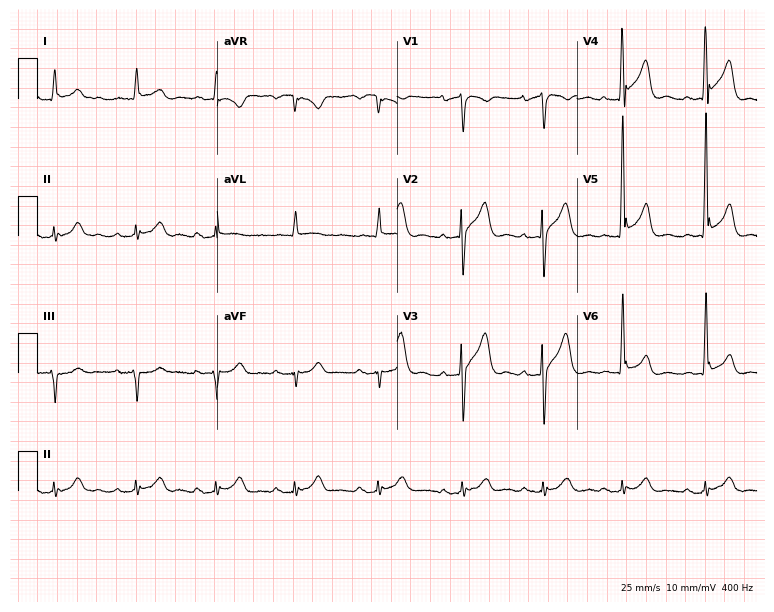
12-lead ECG from a 64-year-old male. Screened for six findings — first-degree AV block, right bundle branch block (RBBB), left bundle branch block (LBBB), sinus bradycardia, atrial fibrillation (AF), sinus tachycardia — none is recorded. Only these six findings were labelled.